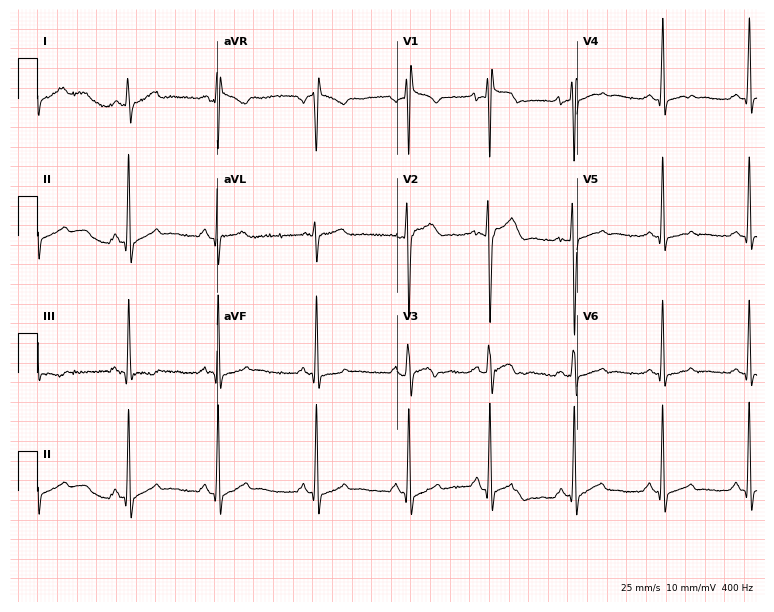
Standard 12-lead ECG recorded from an 18-year-old male patient (7.3-second recording at 400 Hz). None of these six findings is recorded: first-degree AV block, right bundle branch block (RBBB), left bundle branch block (LBBB), sinus bradycardia, atrial fibrillation (AF), sinus tachycardia. Other findings, if any, are not listed.